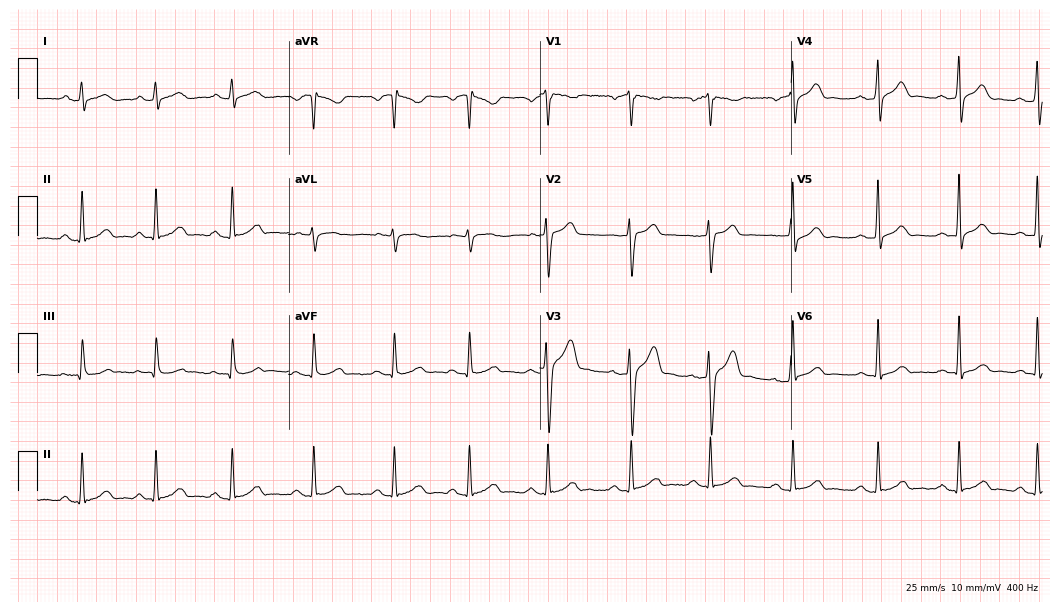
12-lead ECG from a 37-year-old man. Labelled as a normal ECG.